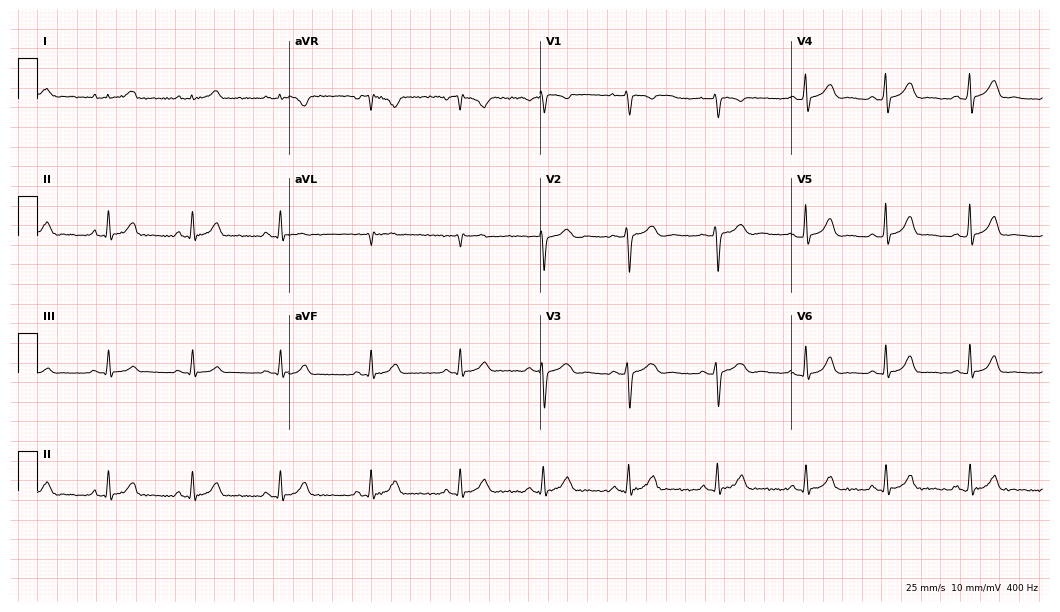
12-lead ECG from a female patient, 25 years old (10.2-second recording at 400 Hz). Recorded interpretation: within normal limits.